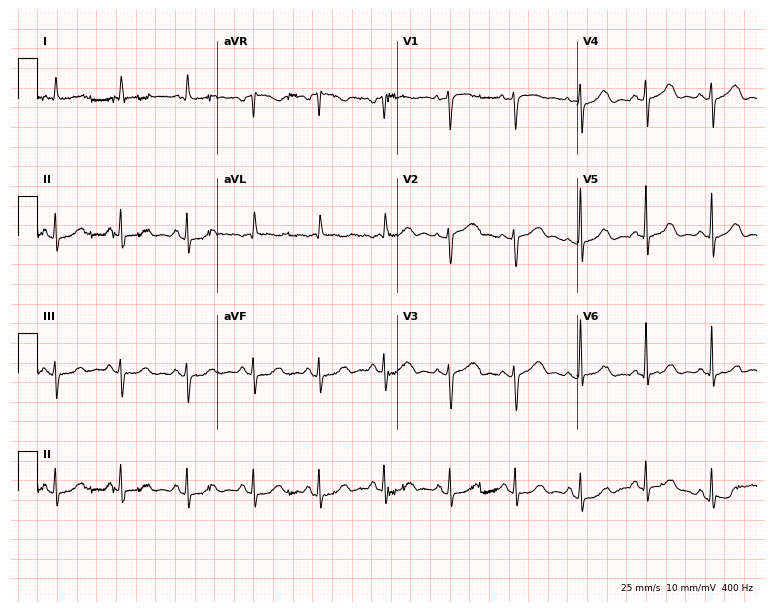
12-lead ECG from a 66-year-old female. No first-degree AV block, right bundle branch block, left bundle branch block, sinus bradycardia, atrial fibrillation or sinus tachycardia recorded for this tracing. Other findings, if any, are not listed.